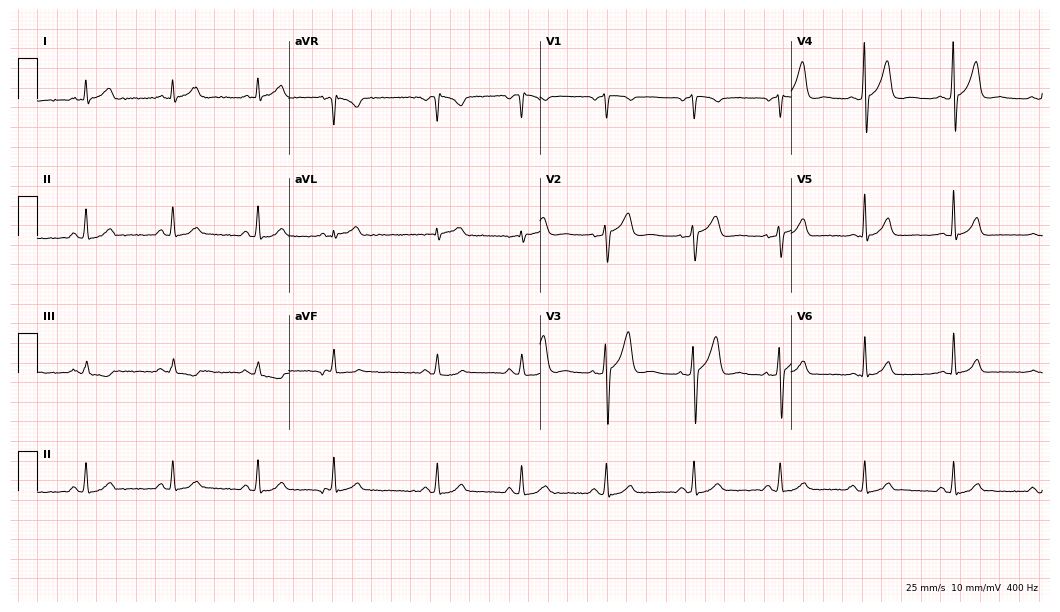
12-lead ECG (10.2-second recording at 400 Hz) from a man, 51 years old. Screened for six findings — first-degree AV block, right bundle branch block, left bundle branch block, sinus bradycardia, atrial fibrillation, sinus tachycardia — none is recorded. Only these six findings were labelled.